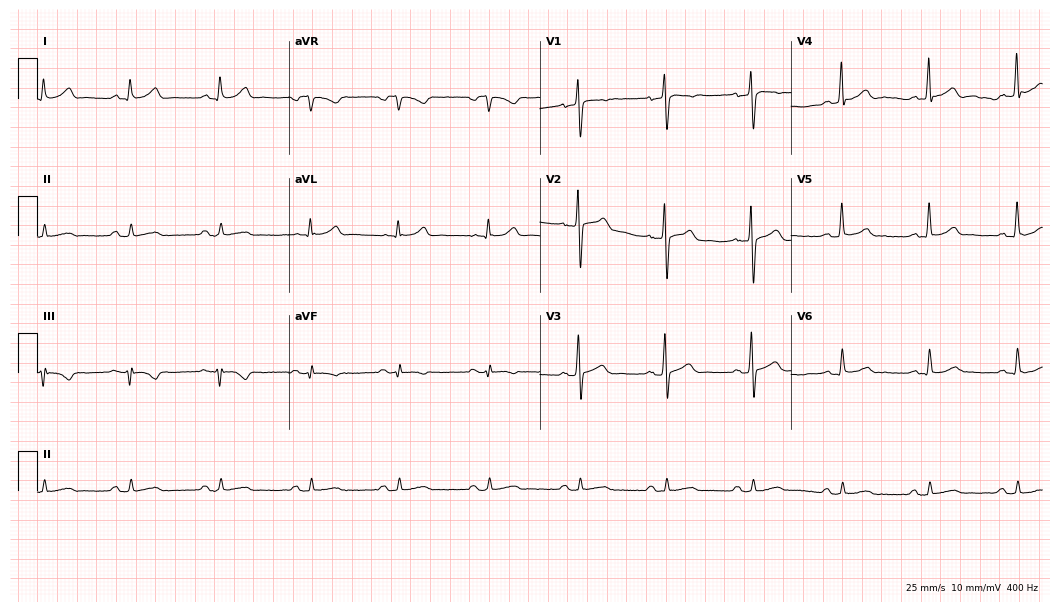
Electrocardiogram (10.2-second recording at 400 Hz), a man, 43 years old. Of the six screened findings (first-degree AV block, right bundle branch block, left bundle branch block, sinus bradycardia, atrial fibrillation, sinus tachycardia), none is recorded.